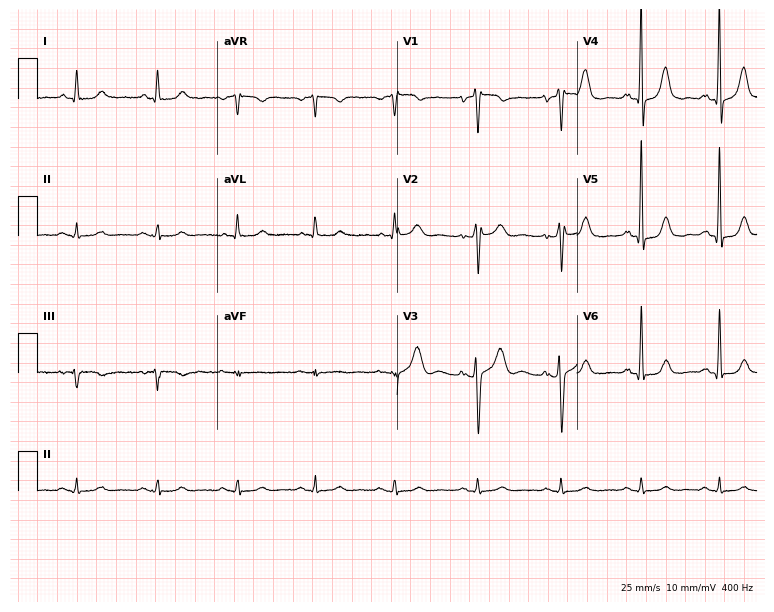
Resting 12-lead electrocardiogram. Patient: a female, 53 years old. Read as a normal ECG.